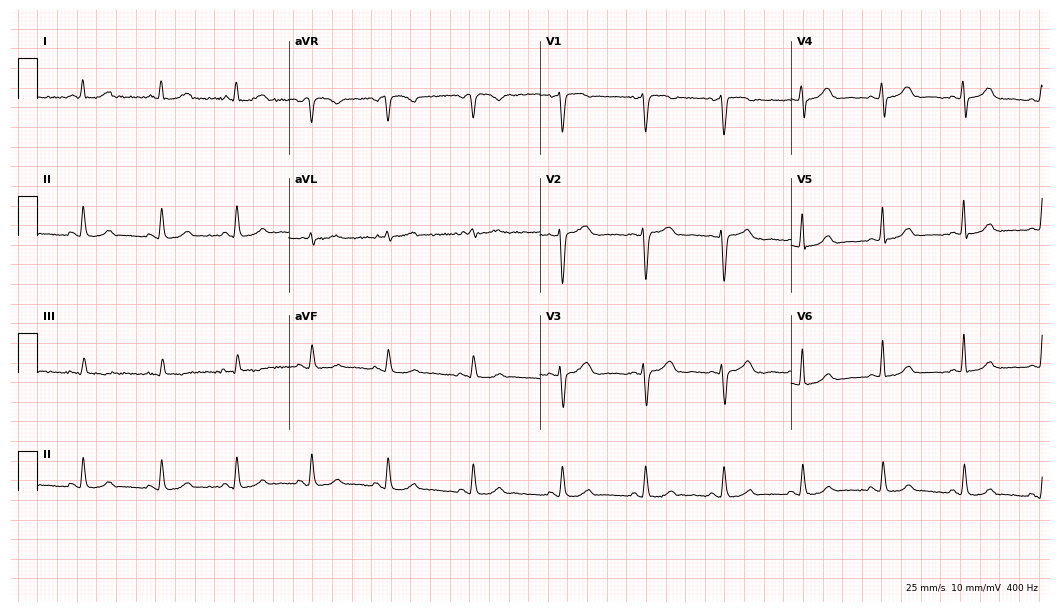
12-lead ECG from a woman, 48 years old. Recorded interpretation: within normal limits.